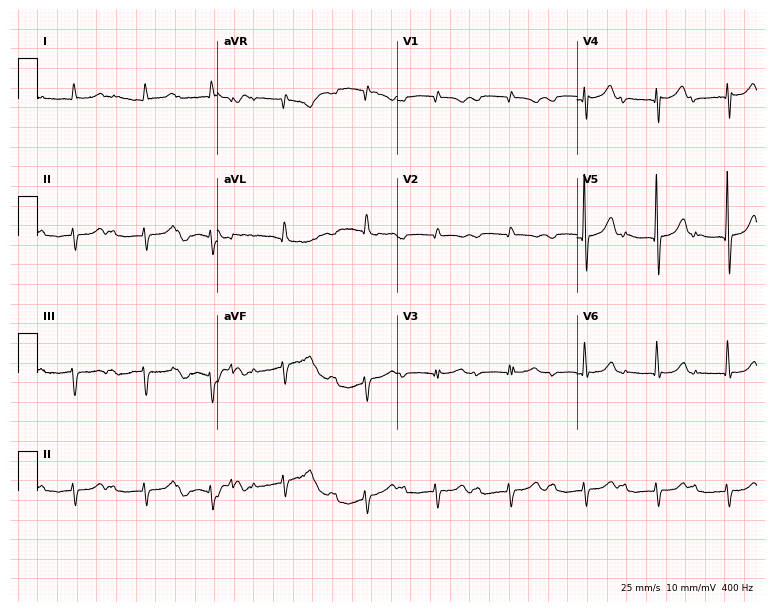
12-lead ECG (7.3-second recording at 400 Hz) from a male, 84 years old. Findings include first-degree AV block.